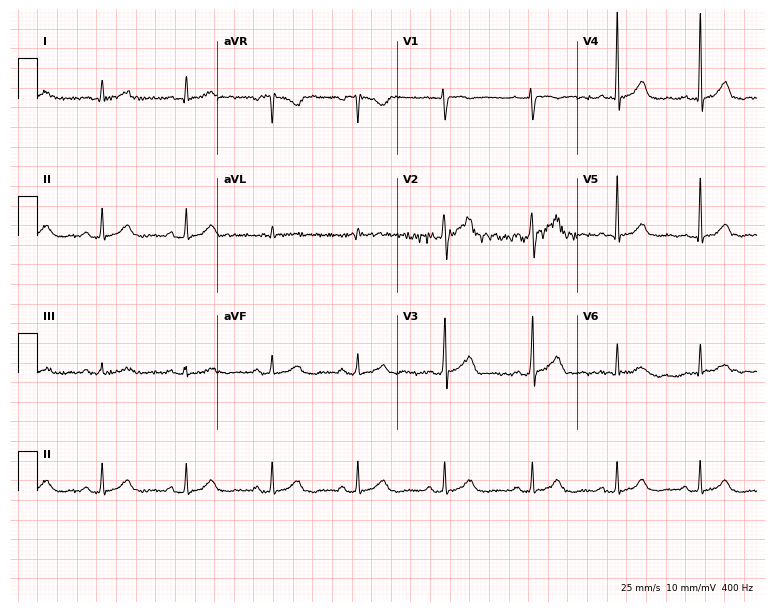
12-lead ECG from a 60-year-old female. Screened for six findings — first-degree AV block, right bundle branch block, left bundle branch block, sinus bradycardia, atrial fibrillation, sinus tachycardia — none is recorded.